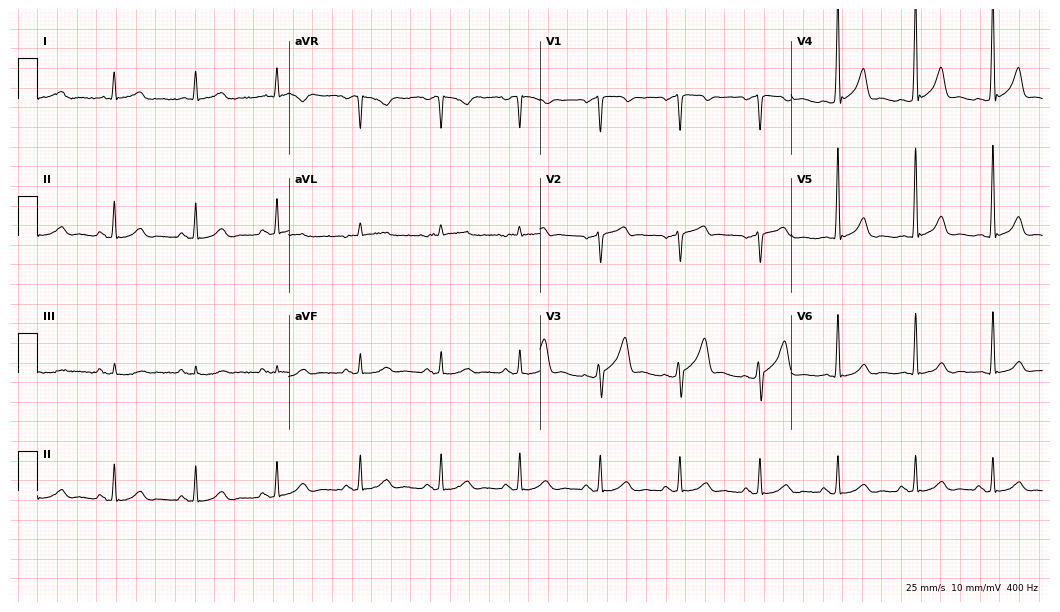
Standard 12-lead ECG recorded from a male patient, 65 years old. Read as a normal ECG.